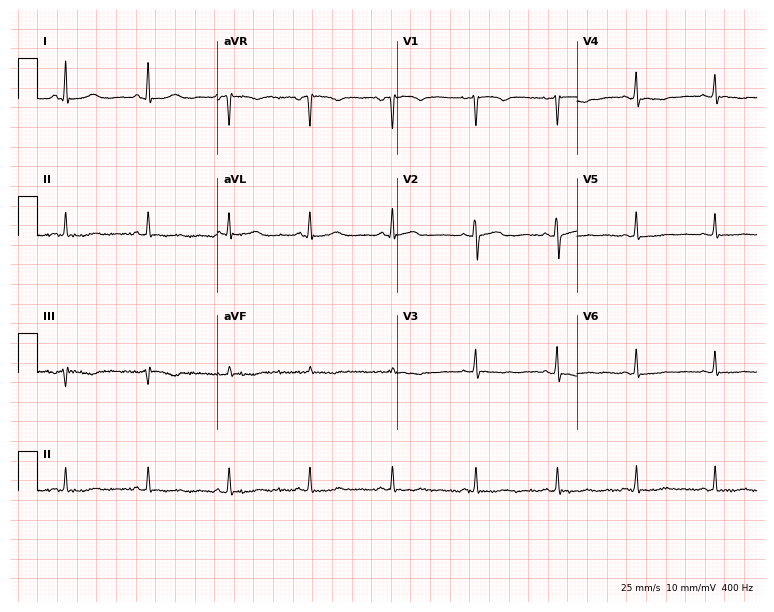
Electrocardiogram, a 33-year-old woman. Of the six screened findings (first-degree AV block, right bundle branch block, left bundle branch block, sinus bradycardia, atrial fibrillation, sinus tachycardia), none is recorded.